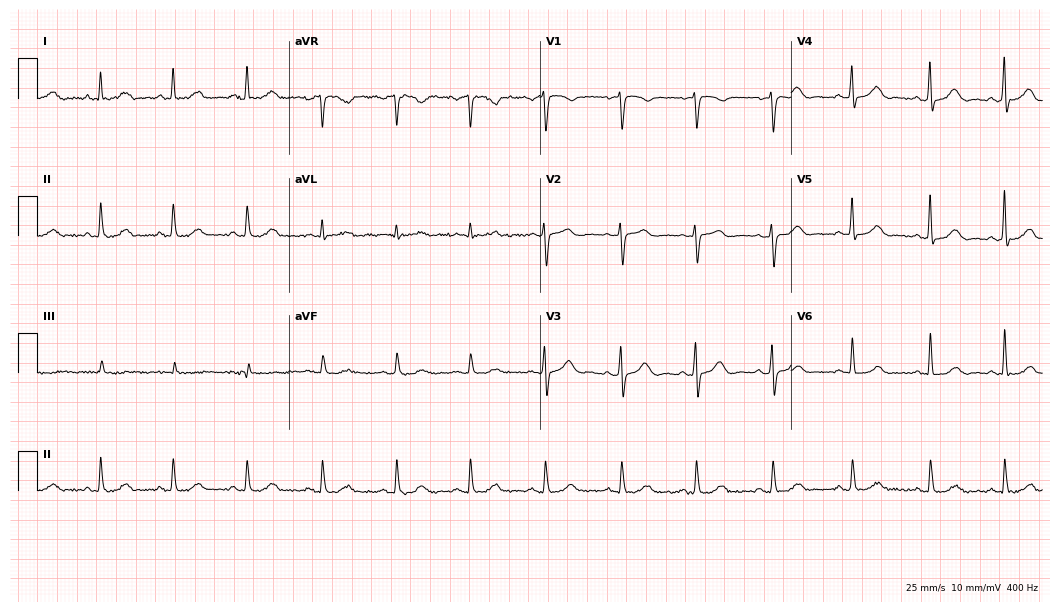
12-lead ECG from a 57-year-old woman. Recorded interpretation: within normal limits.